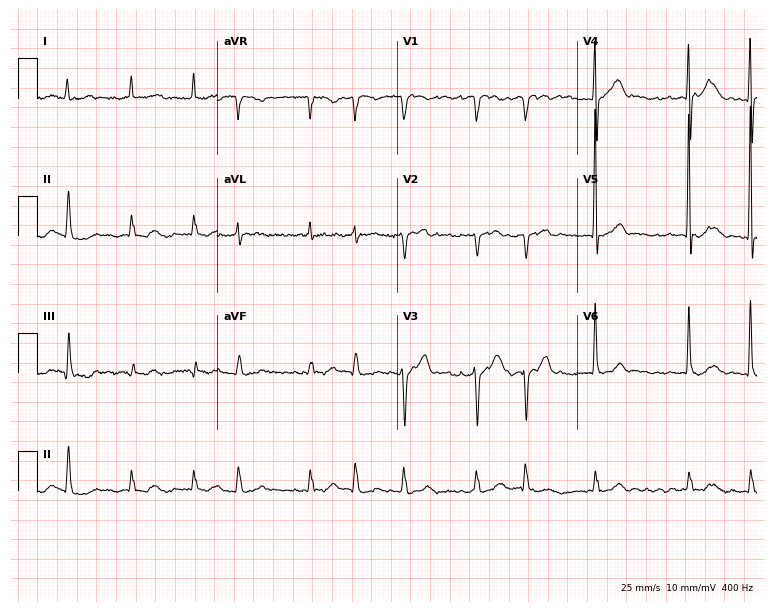
Standard 12-lead ECG recorded from a 78-year-old male patient (7.3-second recording at 400 Hz). The tracing shows atrial fibrillation.